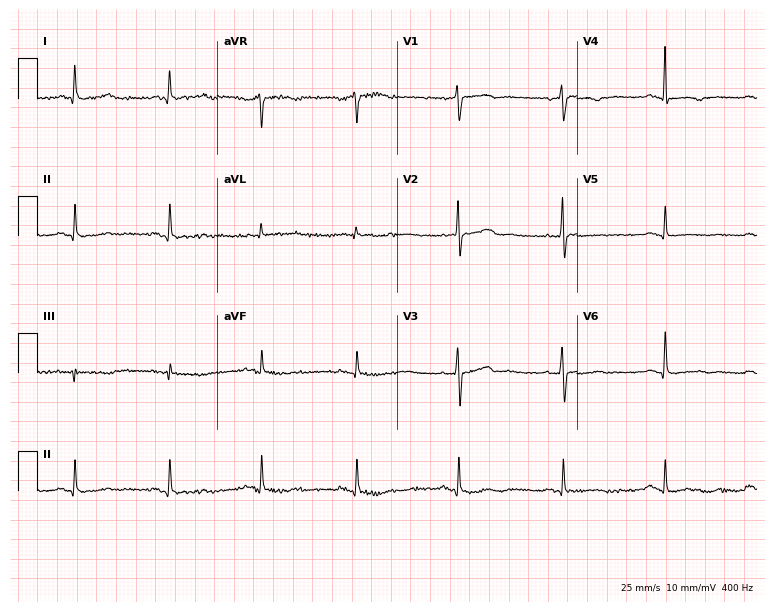
Electrocardiogram, a woman, 60 years old. Of the six screened findings (first-degree AV block, right bundle branch block (RBBB), left bundle branch block (LBBB), sinus bradycardia, atrial fibrillation (AF), sinus tachycardia), none is recorded.